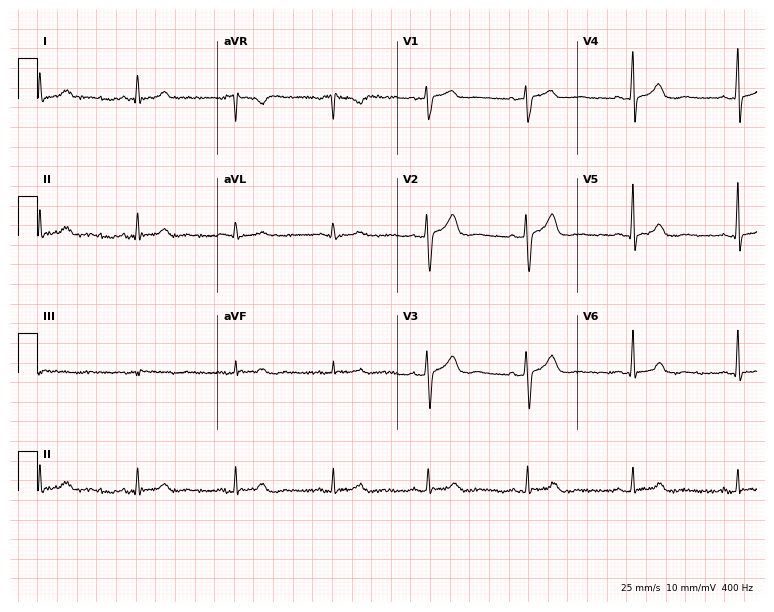
Resting 12-lead electrocardiogram. Patient: a female, 56 years old. None of these six findings is recorded: first-degree AV block, right bundle branch block (RBBB), left bundle branch block (LBBB), sinus bradycardia, atrial fibrillation (AF), sinus tachycardia.